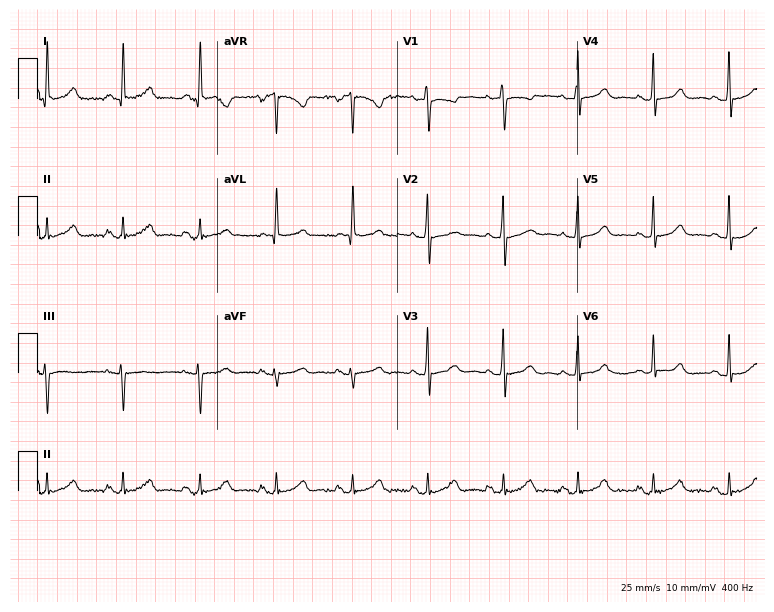
Electrocardiogram (7.3-second recording at 400 Hz), a woman, 61 years old. Overall reading on record: normal ECG.